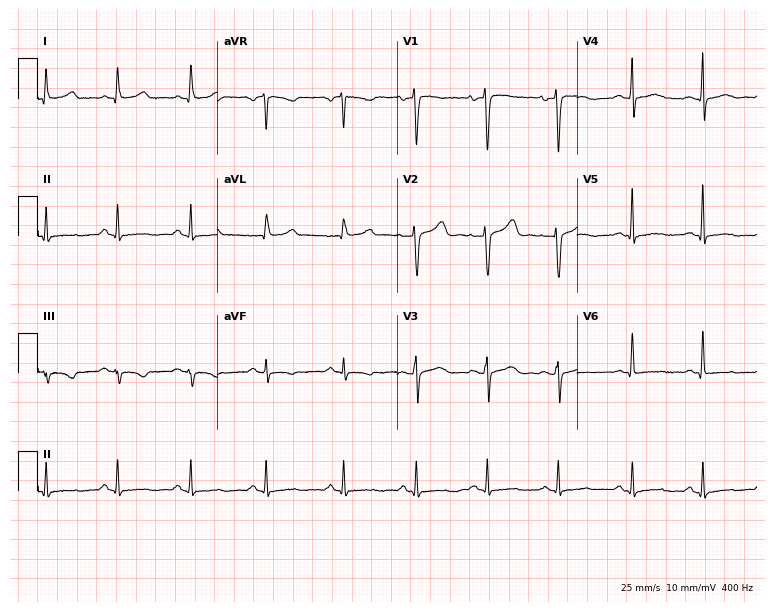
Electrocardiogram, a female patient, 39 years old. Of the six screened findings (first-degree AV block, right bundle branch block, left bundle branch block, sinus bradycardia, atrial fibrillation, sinus tachycardia), none is recorded.